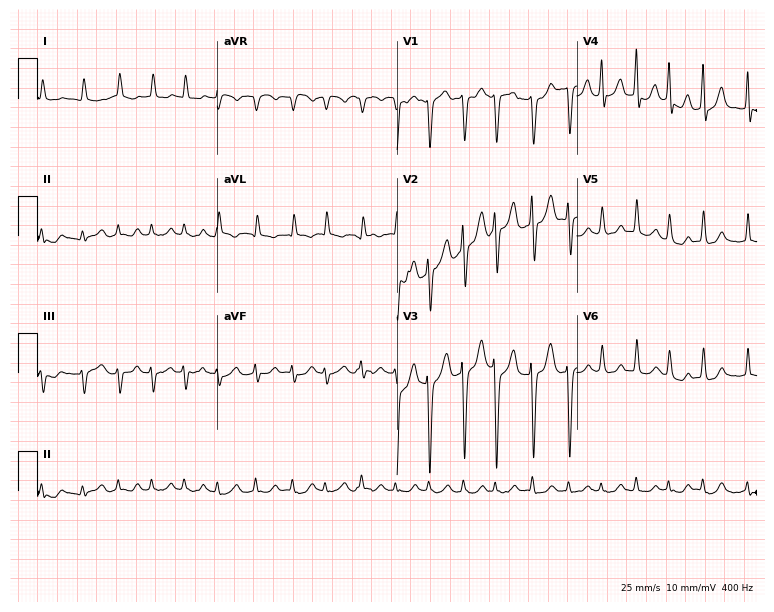
Standard 12-lead ECG recorded from a 70-year-old male (7.3-second recording at 400 Hz). None of these six findings is recorded: first-degree AV block, right bundle branch block, left bundle branch block, sinus bradycardia, atrial fibrillation, sinus tachycardia.